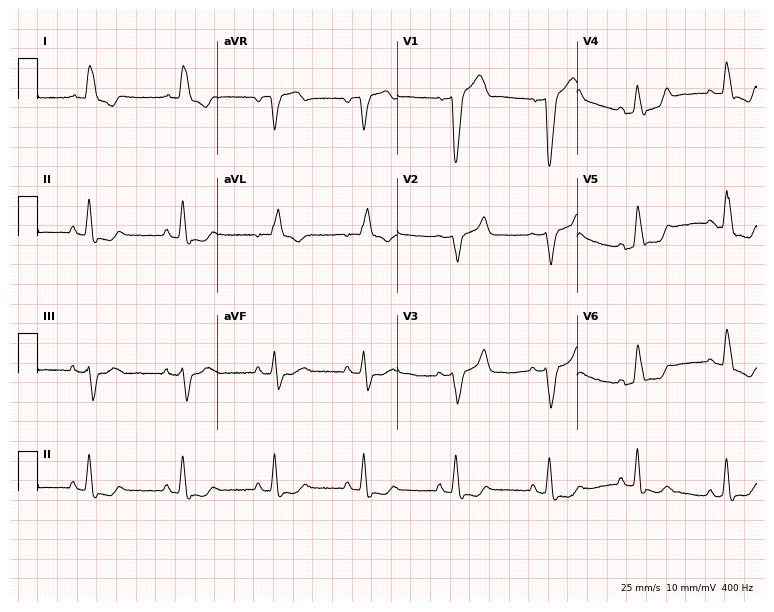
ECG (7.3-second recording at 400 Hz) — a man, 59 years old. Findings include left bundle branch block.